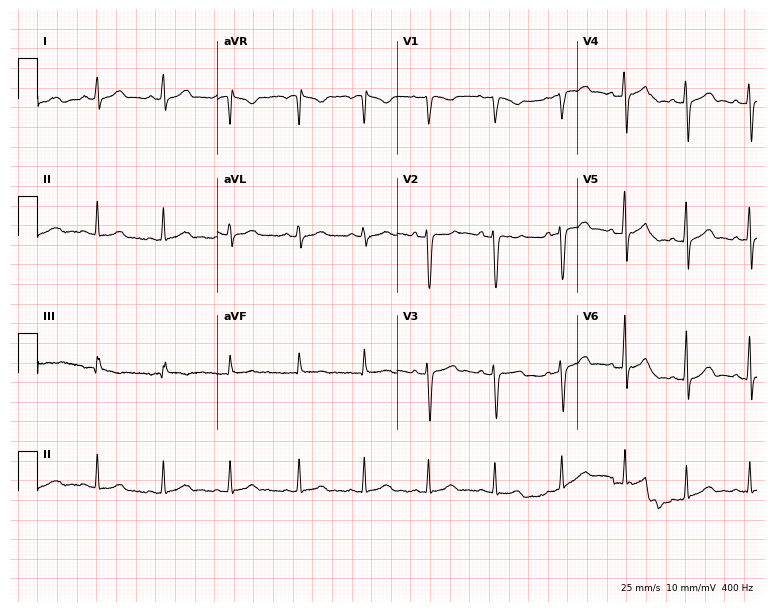
Resting 12-lead electrocardiogram (7.3-second recording at 400 Hz). Patient: a female, 32 years old. None of these six findings is recorded: first-degree AV block, right bundle branch block (RBBB), left bundle branch block (LBBB), sinus bradycardia, atrial fibrillation (AF), sinus tachycardia.